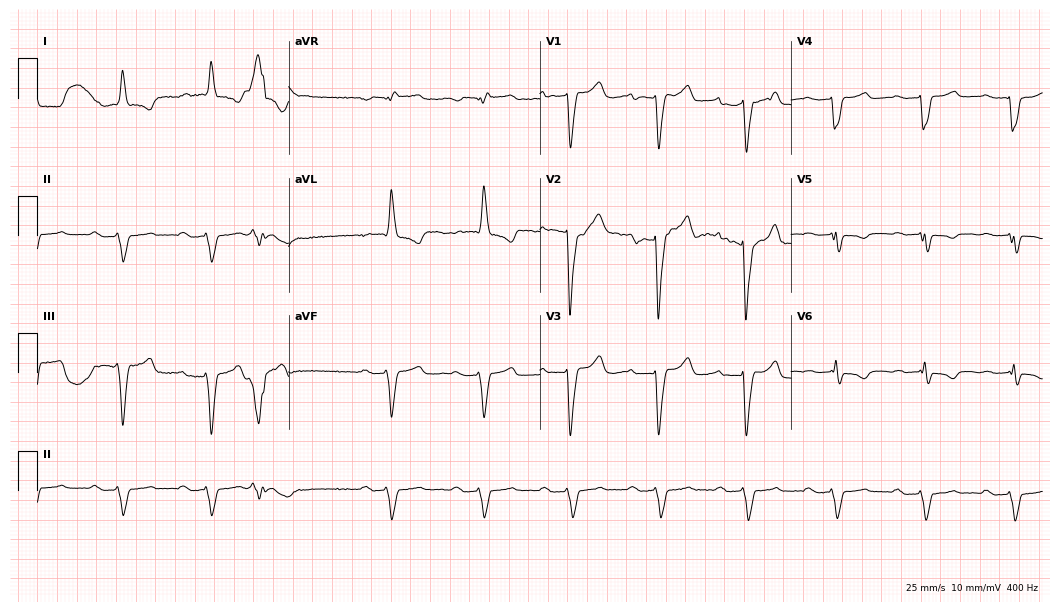
12-lead ECG from an 85-year-old woman. Findings include first-degree AV block, left bundle branch block (LBBB).